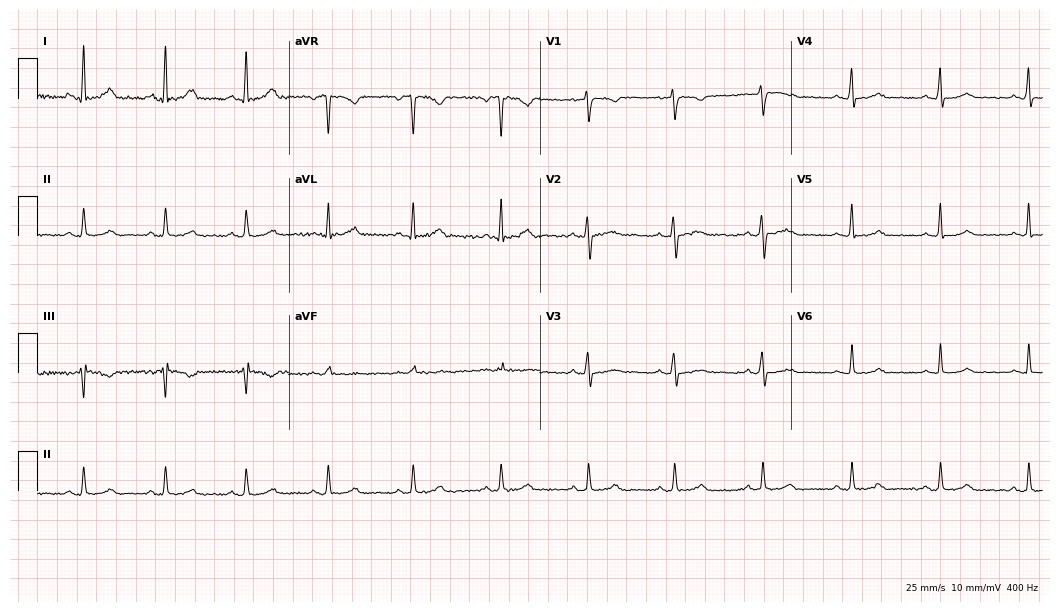
12-lead ECG from a 31-year-old woman. No first-degree AV block, right bundle branch block, left bundle branch block, sinus bradycardia, atrial fibrillation or sinus tachycardia recorded for this tracing.